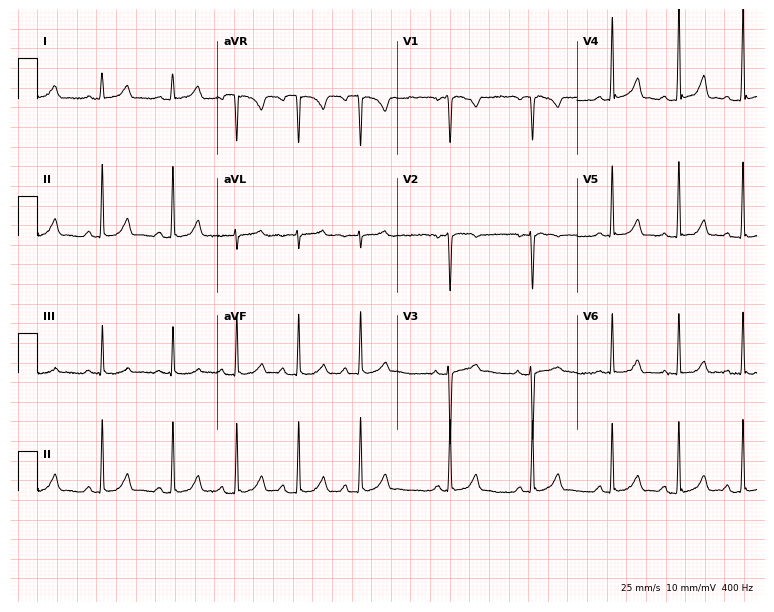
Standard 12-lead ECG recorded from an 18-year-old female patient (7.3-second recording at 400 Hz). Read as a normal ECG.